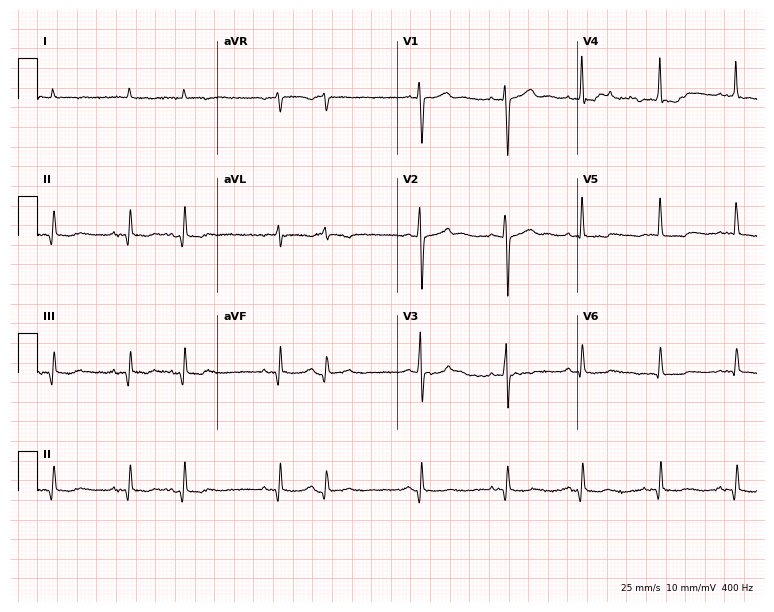
ECG (7.3-second recording at 400 Hz) — a male, 80 years old. Screened for six findings — first-degree AV block, right bundle branch block (RBBB), left bundle branch block (LBBB), sinus bradycardia, atrial fibrillation (AF), sinus tachycardia — none is recorded.